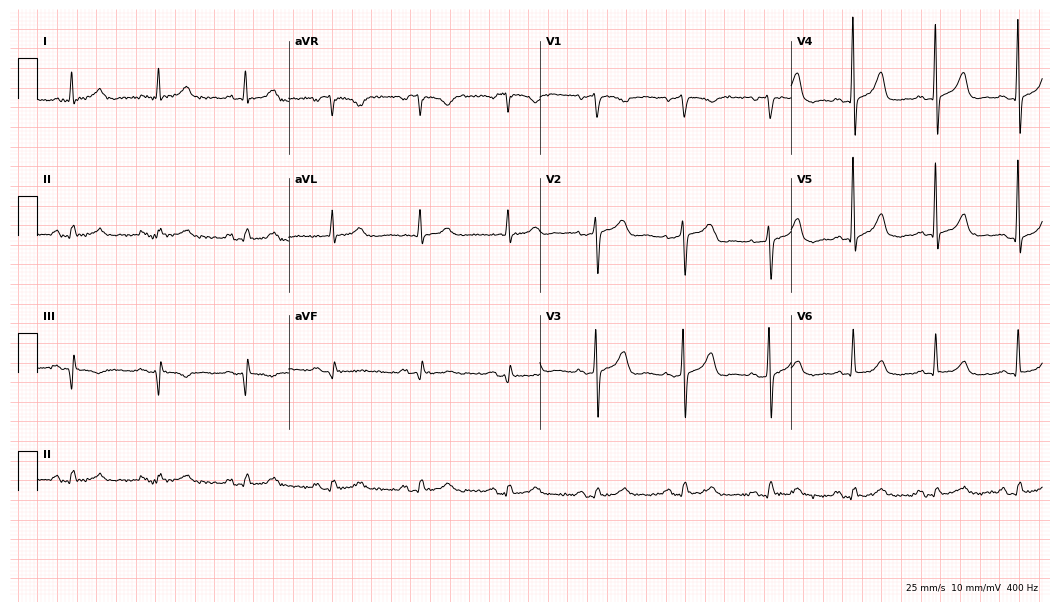
ECG (10.2-second recording at 400 Hz) — a 74-year-old man. Labelled as a normal ECG.